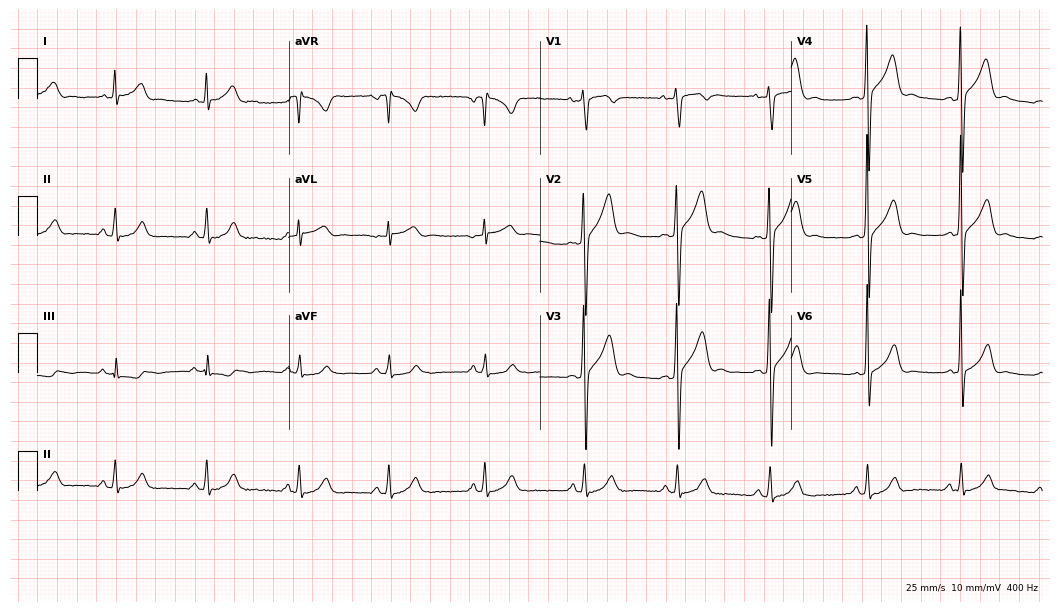
Standard 12-lead ECG recorded from a male, 22 years old. Read as a normal ECG.